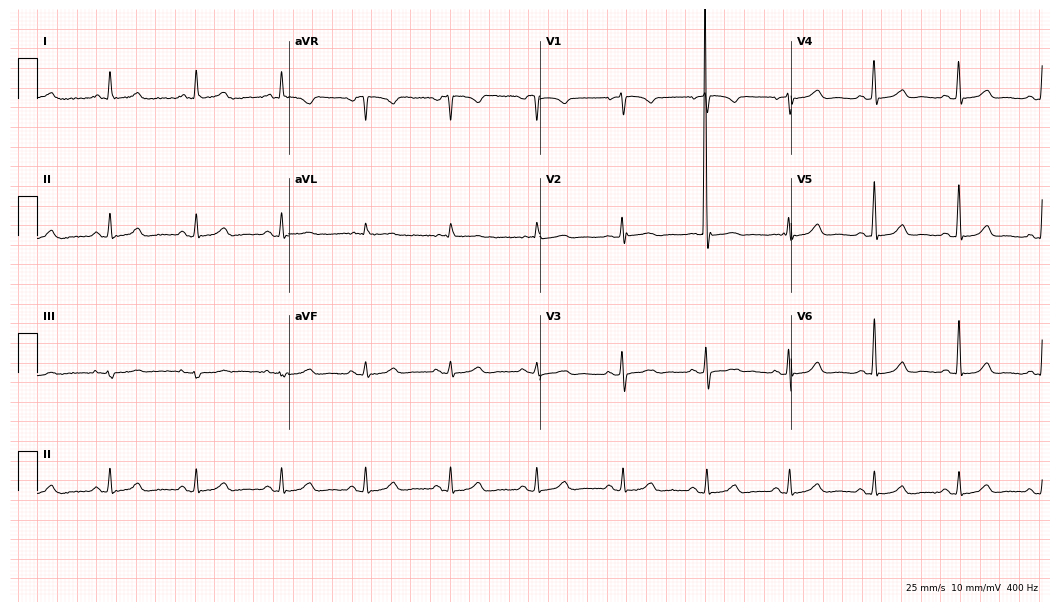
Electrocardiogram (10.2-second recording at 400 Hz), a female, 63 years old. Overall reading on record: normal ECG.